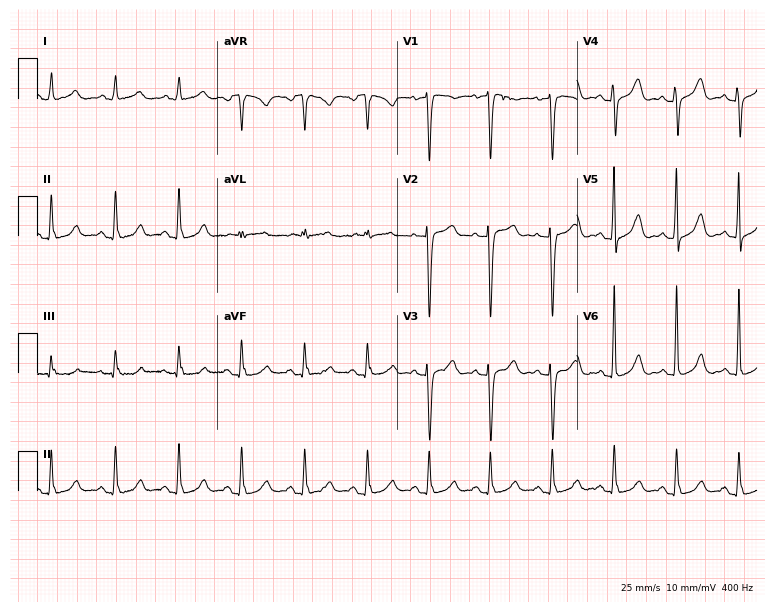
Standard 12-lead ECG recorded from a female patient, 67 years old. None of these six findings is recorded: first-degree AV block, right bundle branch block (RBBB), left bundle branch block (LBBB), sinus bradycardia, atrial fibrillation (AF), sinus tachycardia. Other findings, if any, are not listed.